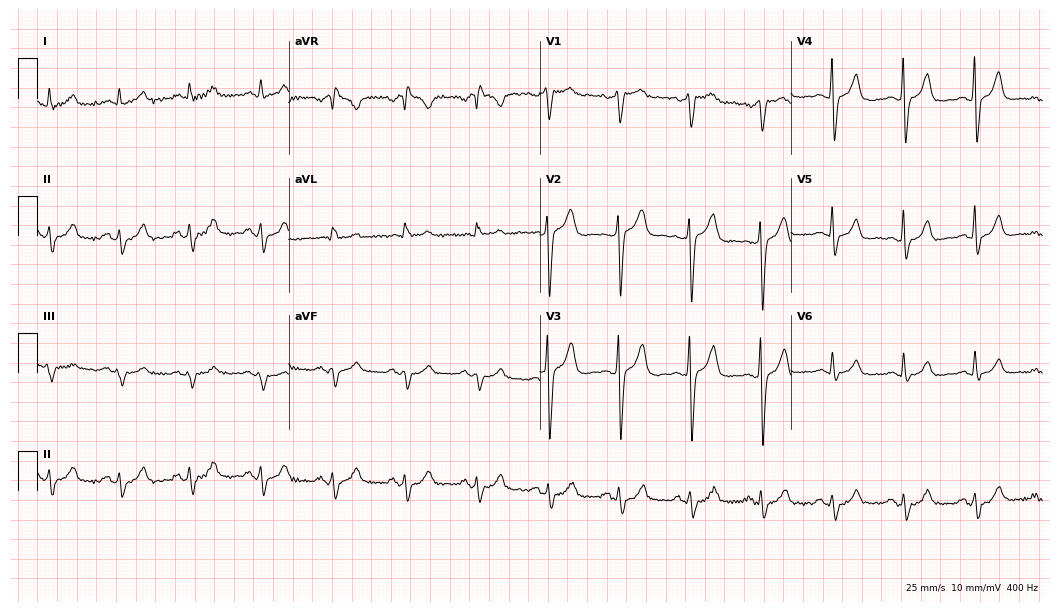
ECG (10.2-second recording at 400 Hz) — a man, 50 years old. Screened for six findings — first-degree AV block, right bundle branch block (RBBB), left bundle branch block (LBBB), sinus bradycardia, atrial fibrillation (AF), sinus tachycardia — none is recorded. Only these six findings were labelled.